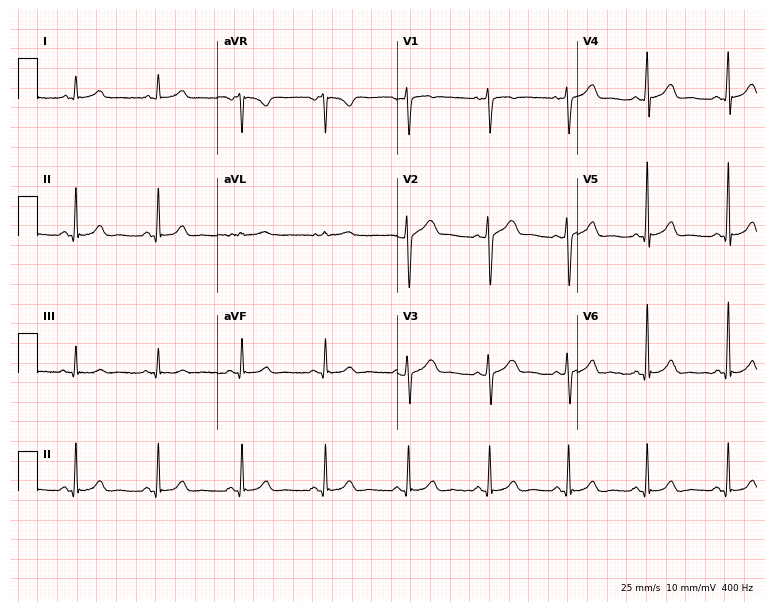
Resting 12-lead electrocardiogram. Patient: a 51-year-old woman. Read as a normal ECG.